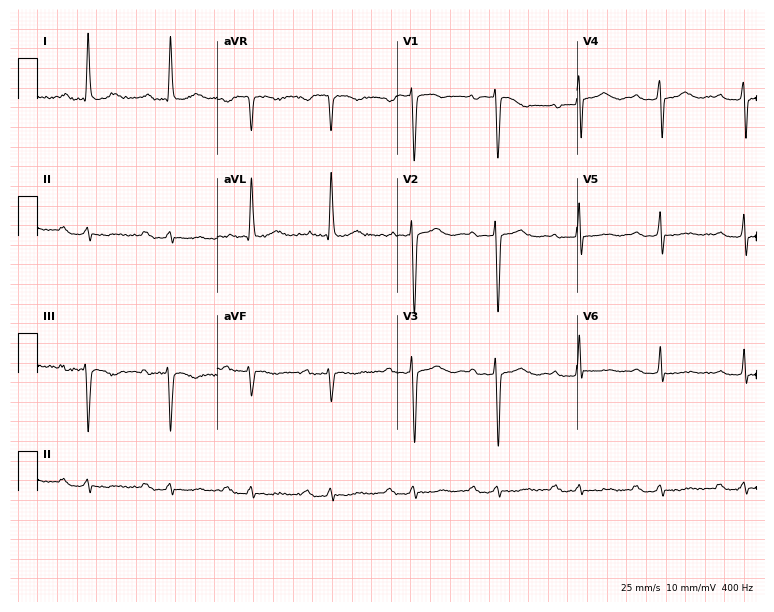
Electrocardiogram (7.3-second recording at 400 Hz), a female patient, 85 years old. Interpretation includes first-degree AV block.